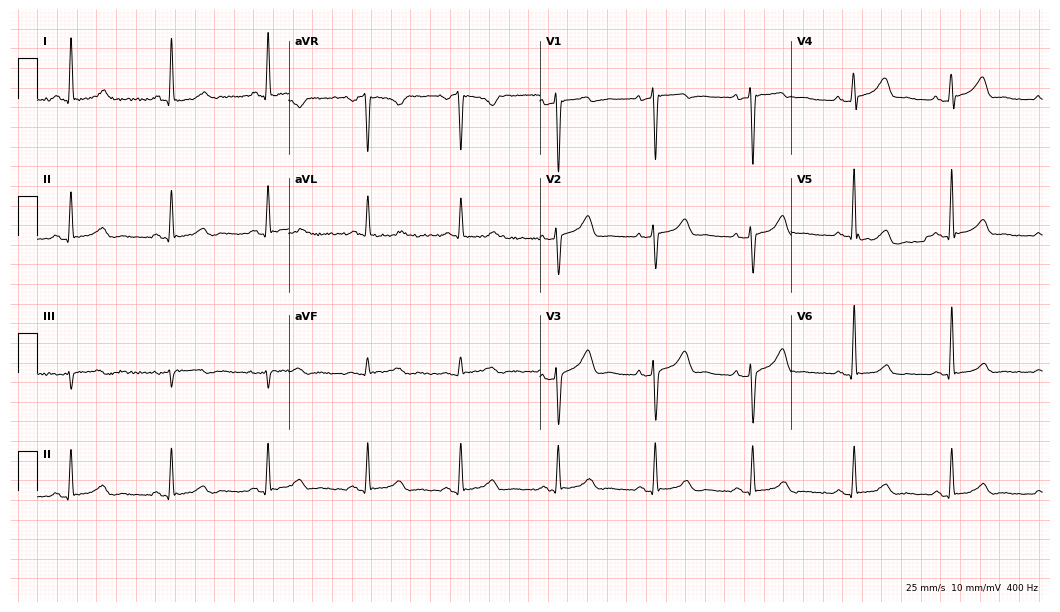
ECG (10.2-second recording at 400 Hz) — a 41-year-old female. Labelled as a normal ECG.